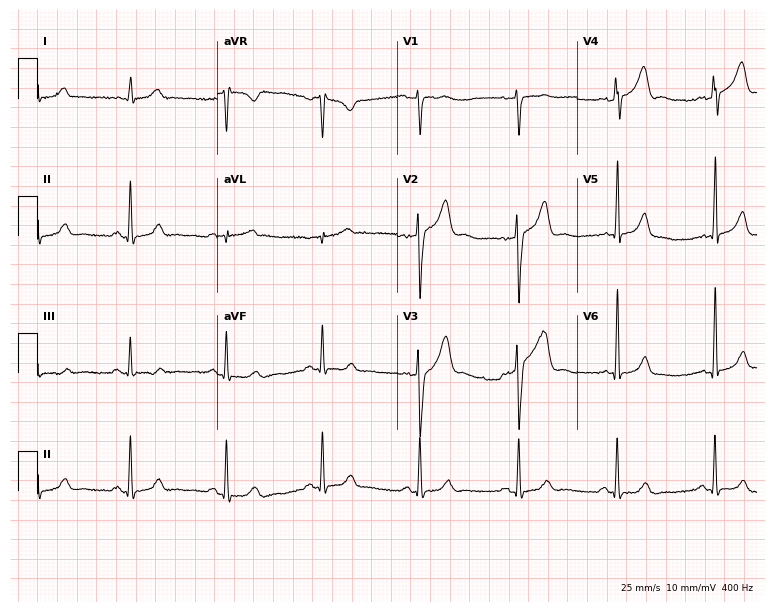
ECG (7.3-second recording at 400 Hz) — a 53-year-old female patient. Labelled as a normal ECG.